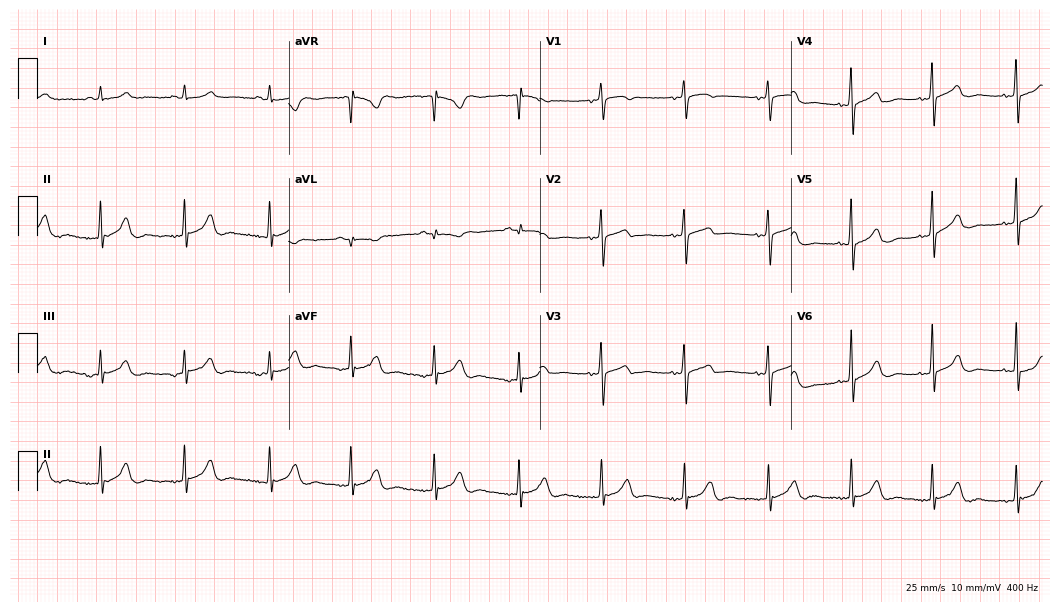
ECG (10.2-second recording at 400 Hz) — a woman, 84 years old. Screened for six findings — first-degree AV block, right bundle branch block, left bundle branch block, sinus bradycardia, atrial fibrillation, sinus tachycardia — none is recorded. Findings outside these six are not listed.